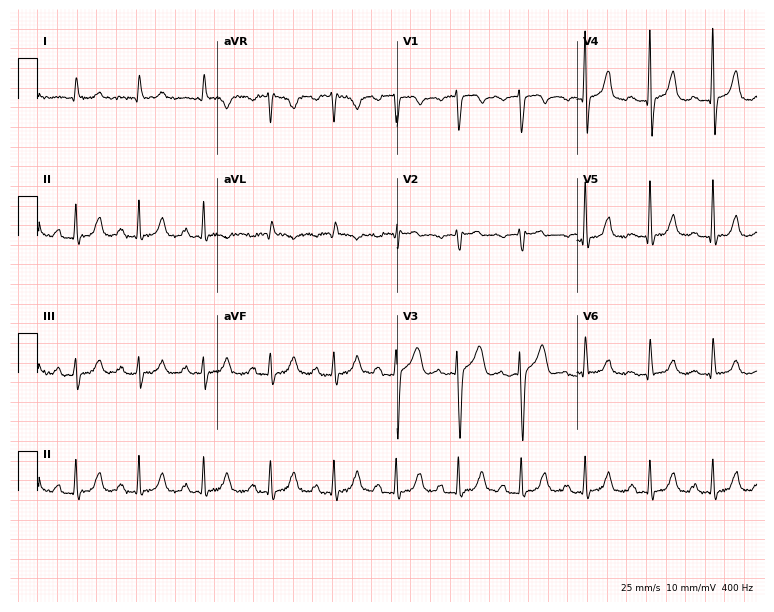
12-lead ECG from a man, 69 years old. Labelled as a normal ECG.